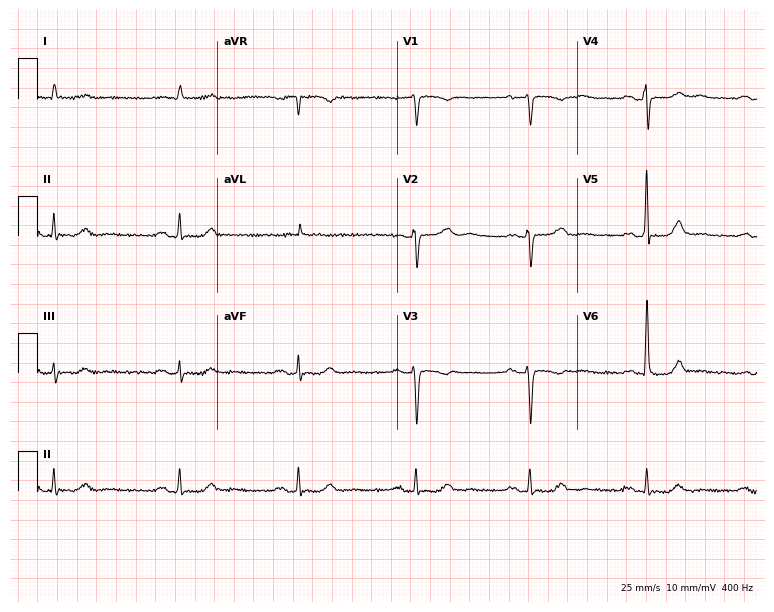
ECG (7.3-second recording at 400 Hz) — a female, 82 years old. Screened for six findings — first-degree AV block, right bundle branch block, left bundle branch block, sinus bradycardia, atrial fibrillation, sinus tachycardia — none is recorded.